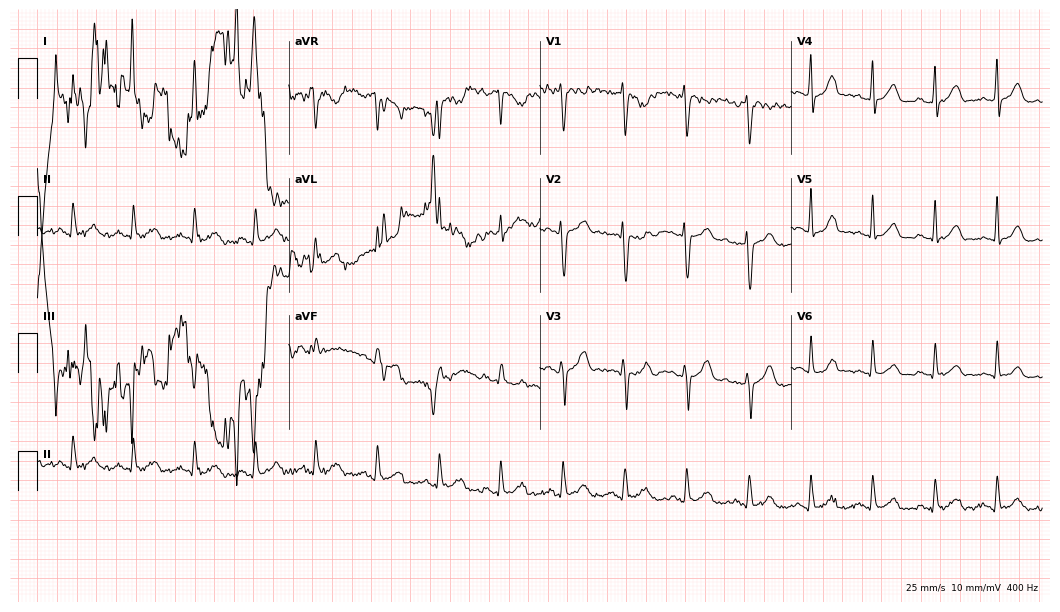
Electrocardiogram (10.2-second recording at 400 Hz), a woman, 36 years old. Of the six screened findings (first-degree AV block, right bundle branch block (RBBB), left bundle branch block (LBBB), sinus bradycardia, atrial fibrillation (AF), sinus tachycardia), none is recorded.